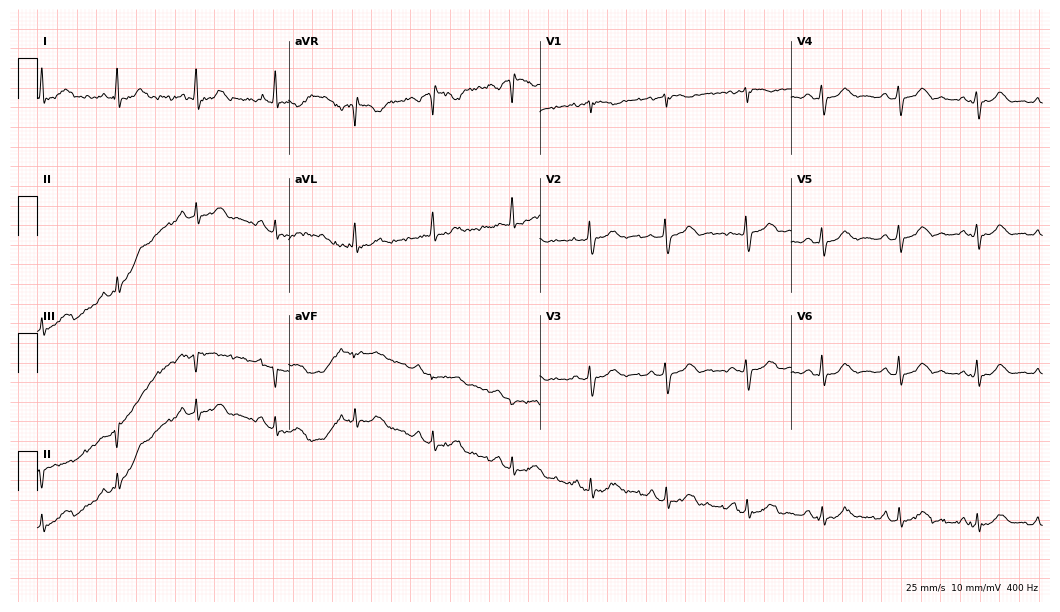
12-lead ECG from a 71-year-old woman (10.2-second recording at 400 Hz). Recorded interpretation: within normal limits.